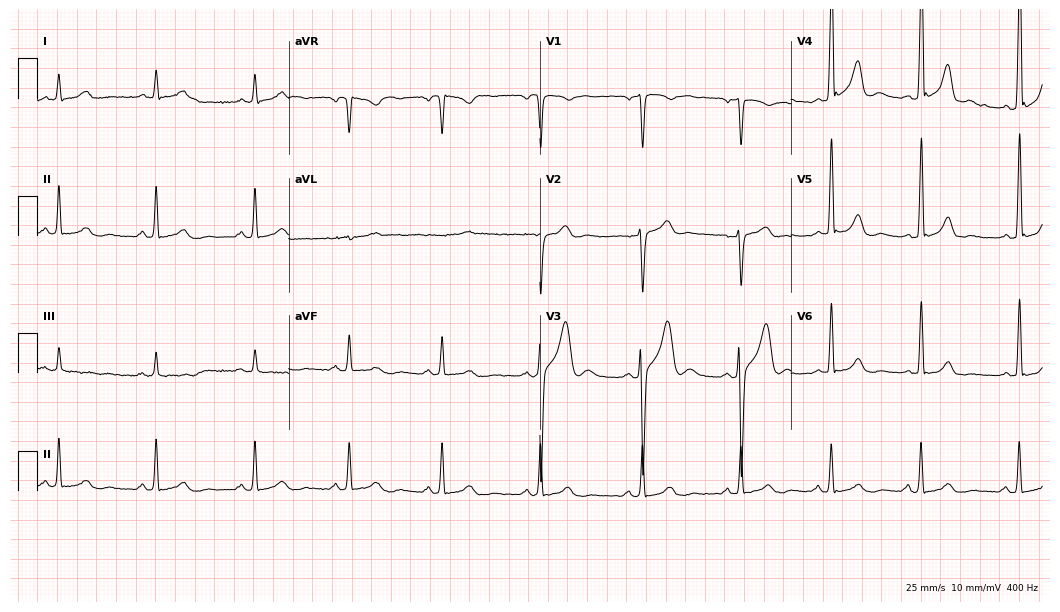
12-lead ECG from a 35-year-old male (10.2-second recording at 400 Hz). Recorded interpretation: within normal limits.